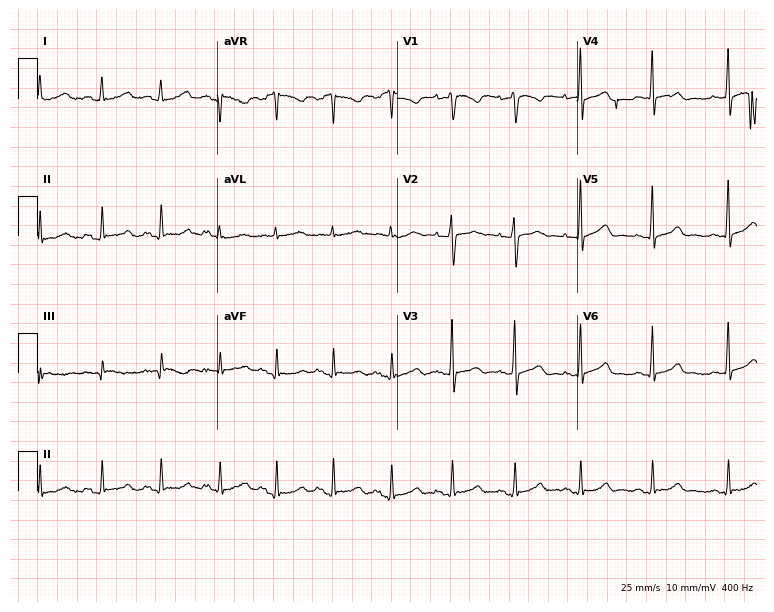
12-lead ECG (7.3-second recording at 400 Hz) from a woman, 39 years old. Labelled as a normal ECG.